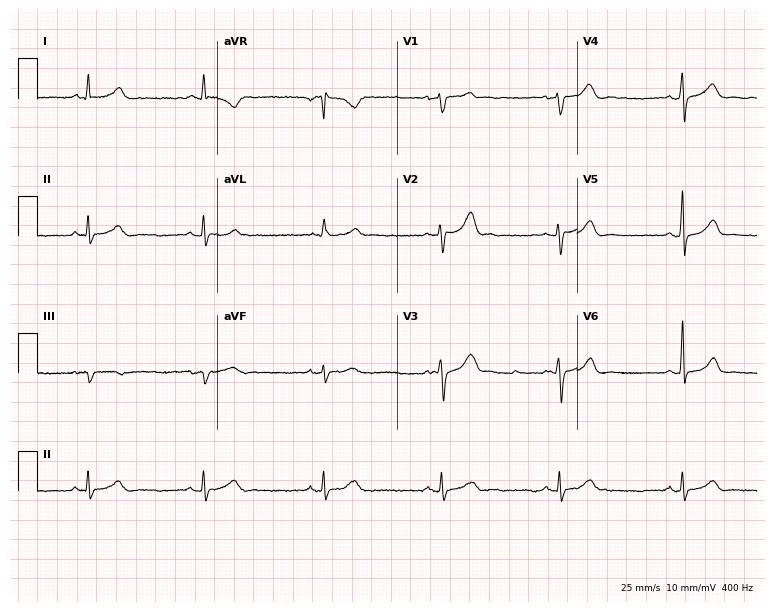
ECG — a 41-year-old man. Labelled as a normal ECG.